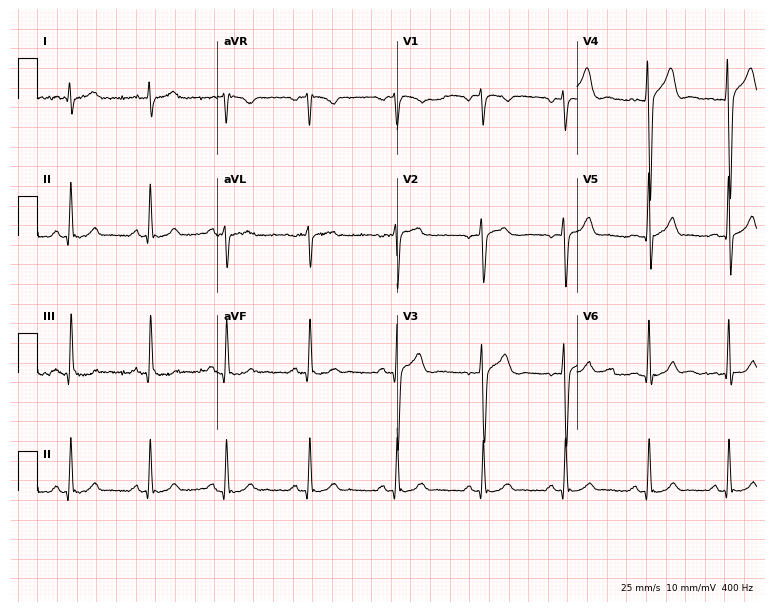
ECG (7.3-second recording at 400 Hz) — a 17-year-old male patient. Labelled as a normal ECG.